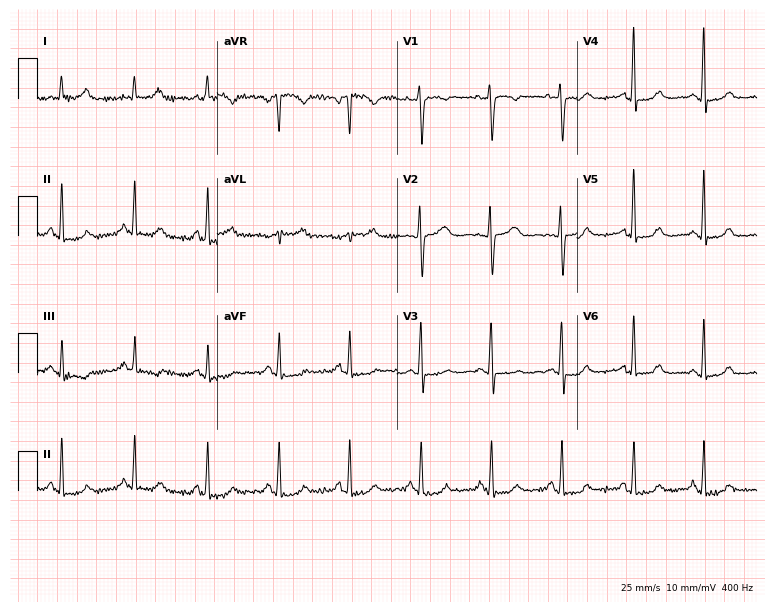
12-lead ECG (7.3-second recording at 400 Hz) from a woman, 53 years old. Labelled as a normal ECG.